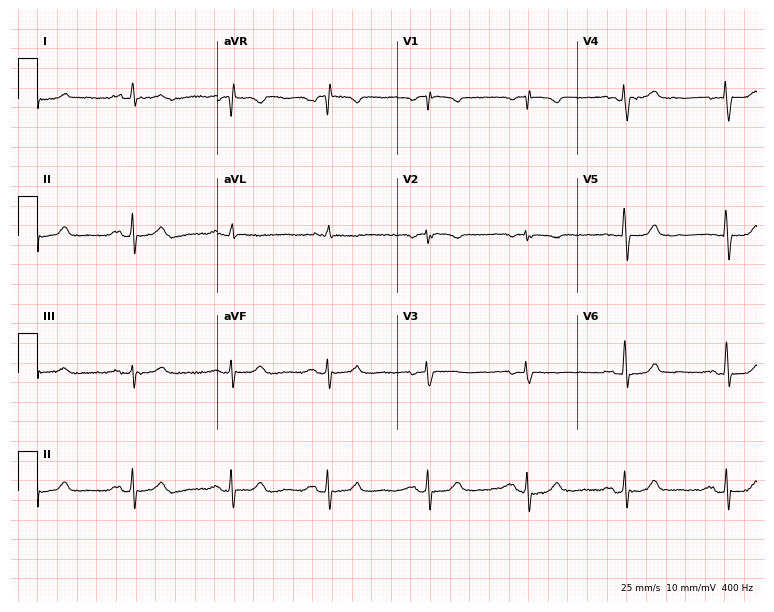
Standard 12-lead ECG recorded from a female patient, 62 years old (7.3-second recording at 400 Hz). Read as a normal ECG.